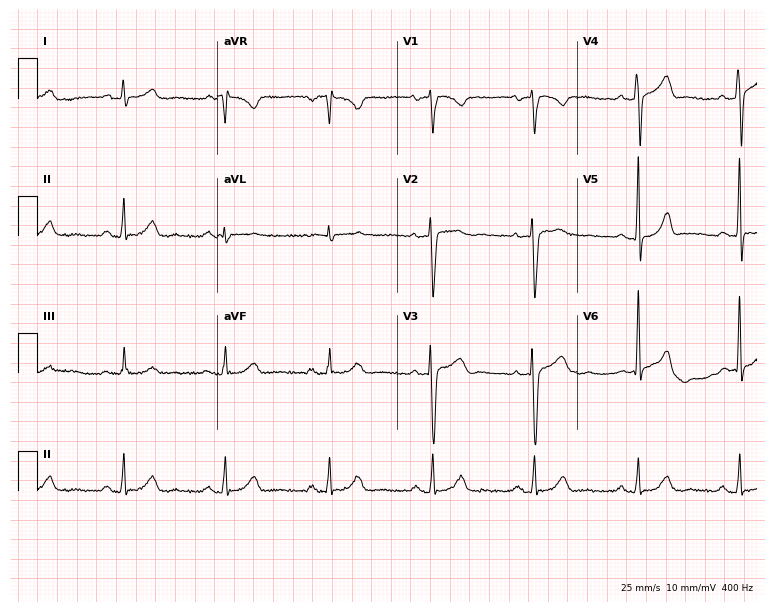
Standard 12-lead ECG recorded from a 61-year-old man (7.3-second recording at 400 Hz). Read as a normal ECG.